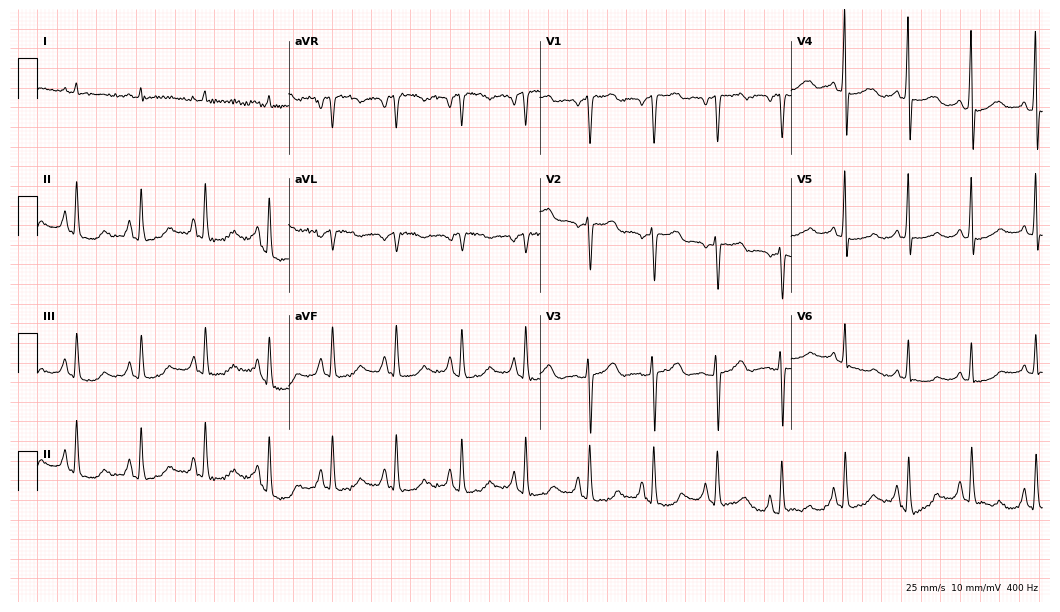
Standard 12-lead ECG recorded from a man, 74 years old. None of these six findings is recorded: first-degree AV block, right bundle branch block, left bundle branch block, sinus bradycardia, atrial fibrillation, sinus tachycardia. Findings outside these six are not listed.